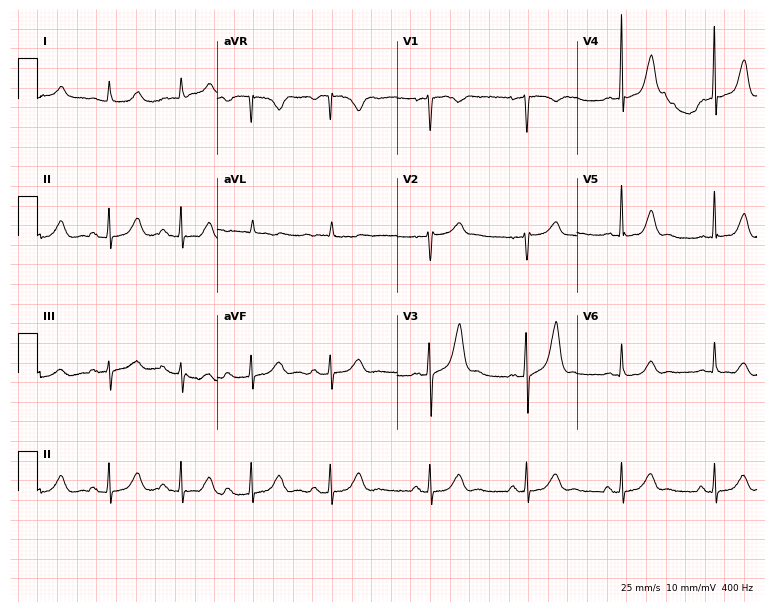
12-lead ECG from a 67-year-old female. Recorded interpretation: within normal limits.